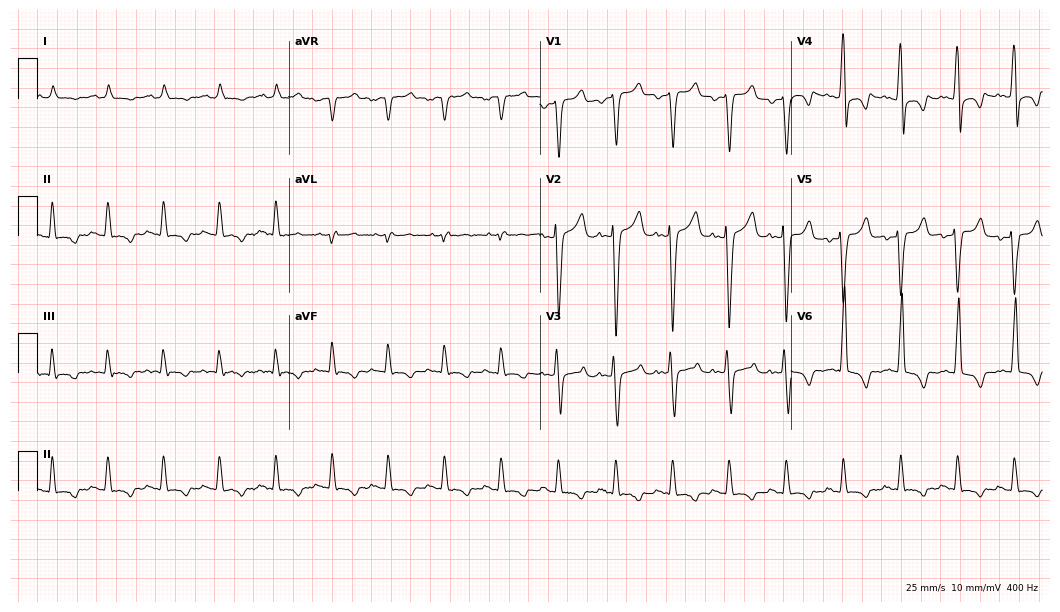
ECG — a man, 48 years old. Findings include sinus tachycardia (a sinus rate of 100 beats per minute or more).